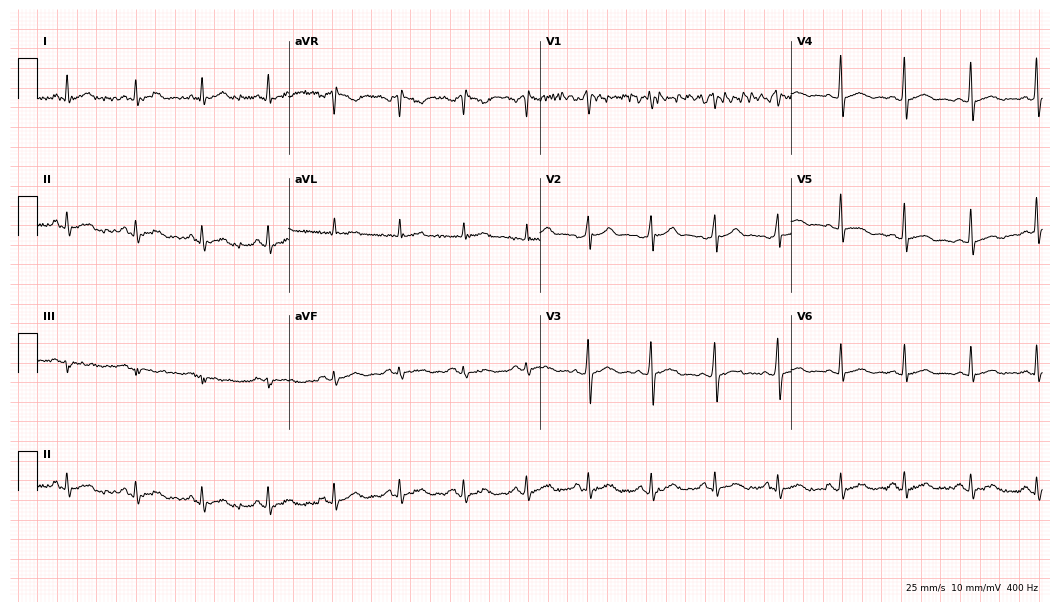
Electrocardiogram (10.2-second recording at 400 Hz), a man, 41 years old. Overall reading on record: normal ECG.